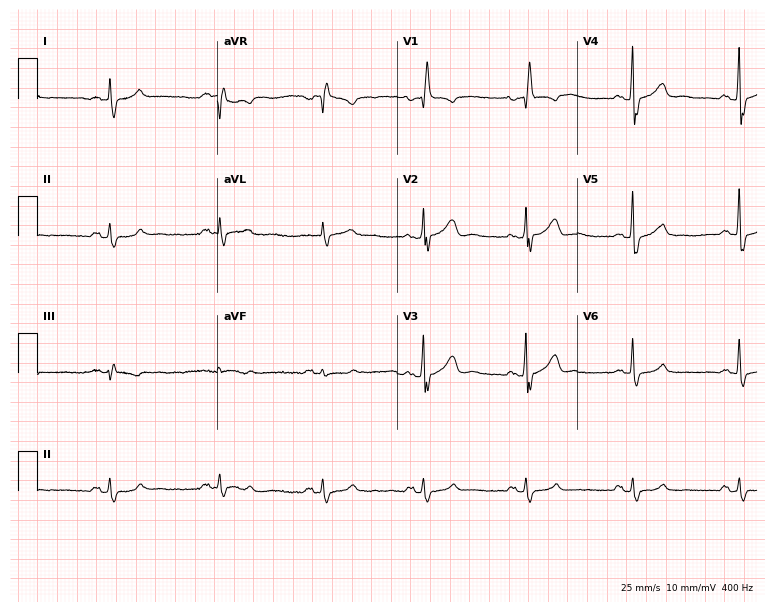
Standard 12-lead ECG recorded from a 67-year-old male patient. None of these six findings is recorded: first-degree AV block, right bundle branch block, left bundle branch block, sinus bradycardia, atrial fibrillation, sinus tachycardia.